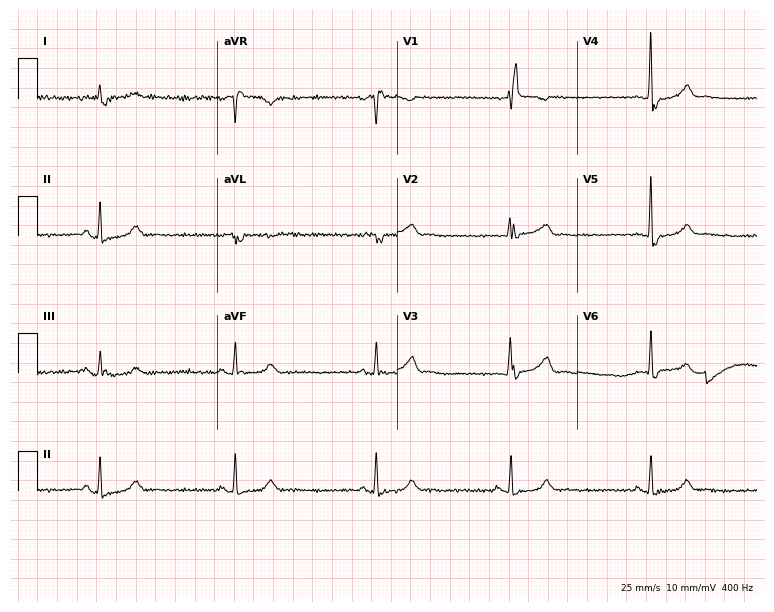
Resting 12-lead electrocardiogram. Patient: a man, 82 years old. The tracing shows right bundle branch block, sinus bradycardia (a sinus rate of 50 beats per minute or less).